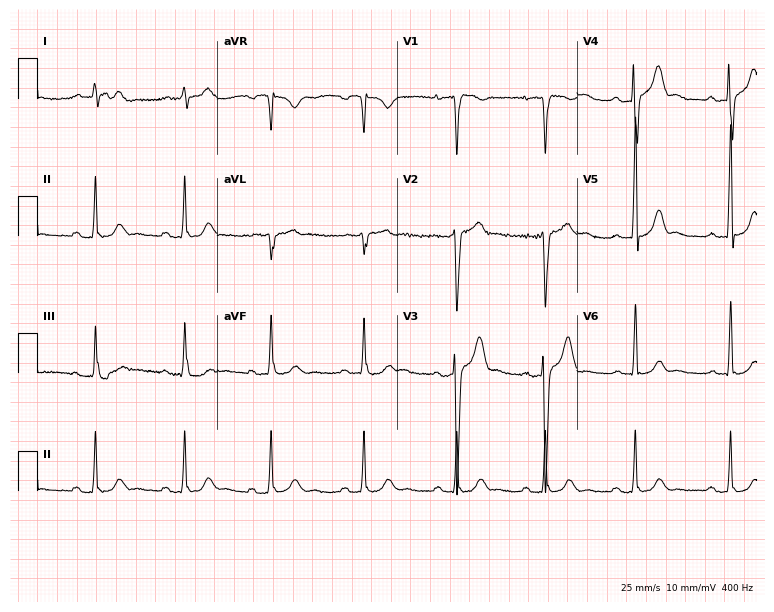
Standard 12-lead ECG recorded from a 33-year-old man (7.3-second recording at 400 Hz). None of these six findings is recorded: first-degree AV block, right bundle branch block, left bundle branch block, sinus bradycardia, atrial fibrillation, sinus tachycardia.